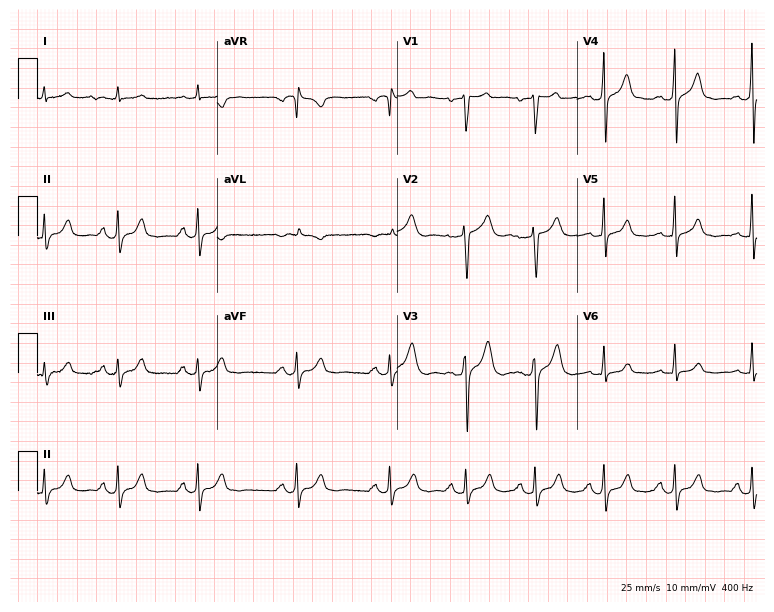
Electrocardiogram (7.3-second recording at 400 Hz), a male, 56 years old. Overall reading on record: normal ECG.